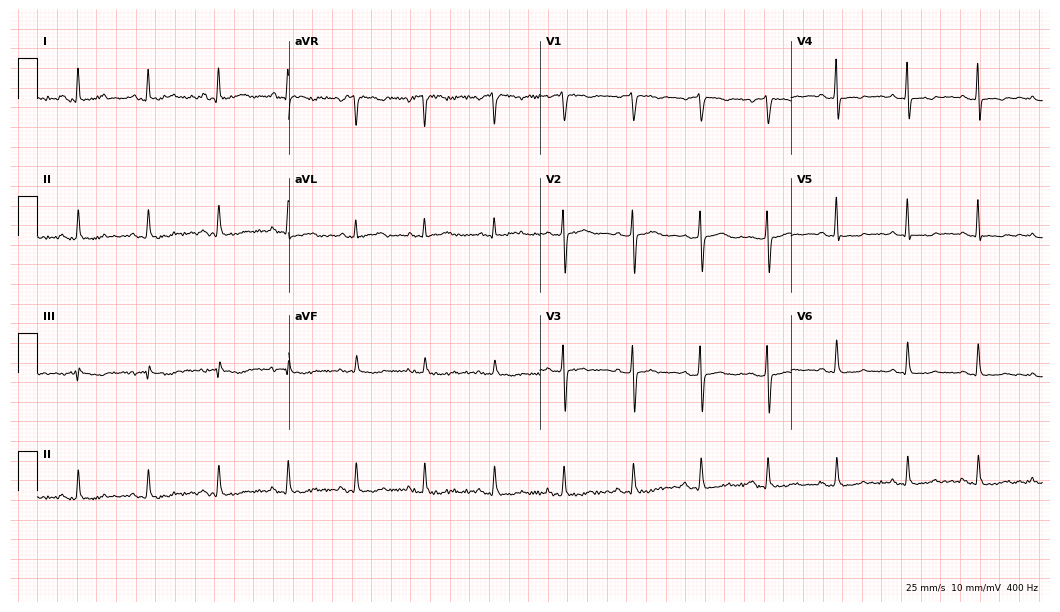
ECG (10.2-second recording at 400 Hz) — a female, 54 years old. Screened for six findings — first-degree AV block, right bundle branch block (RBBB), left bundle branch block (LBBB), sinus bradycardia, atrial fibrillation (AF), sinus tachycardia — none is recorded. Findings outside these six are not listed.